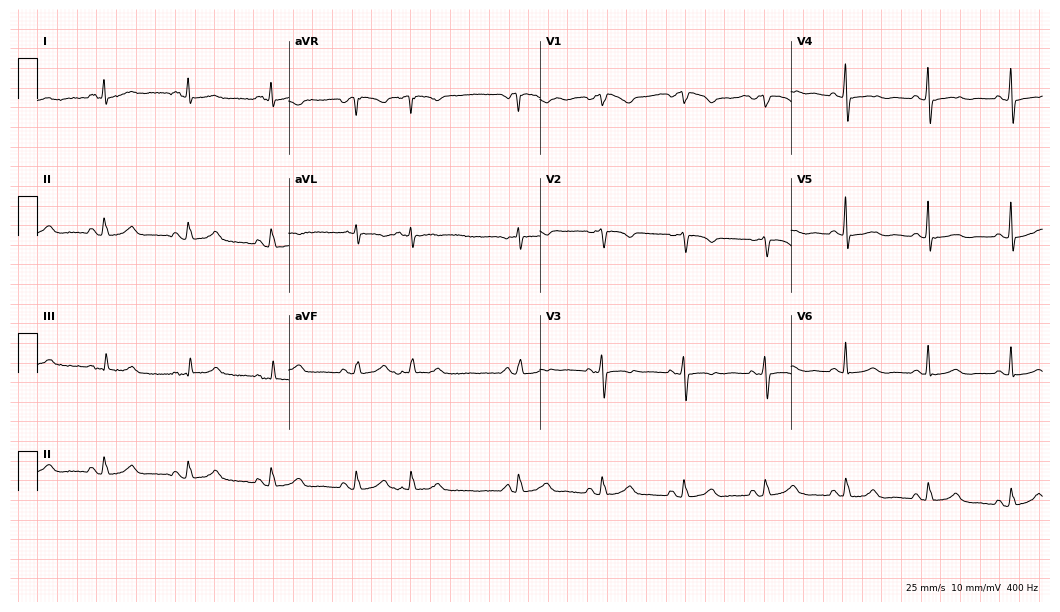
12-lead ECG from an 80-year-old female patient. No first-degree AV block, right bundle branch block, left bundle branch block, sinus bradycardia, atrial fibrillation or sinus tachycardia recorded for this tracing. Findings outside these six are not listed.